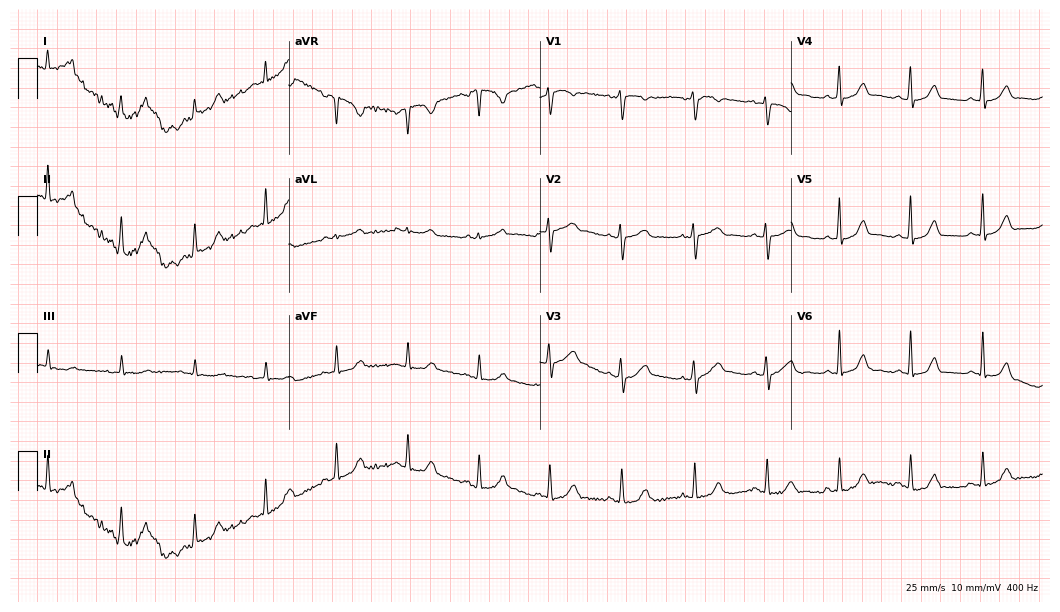
Standard 12-lead ECG recorded from a female, 36 years old (10.2-second recording at 400 Hz). None of these six findings is recorded: first-degree AV block, right bundle branch block (RBBB), left bundle branch block (LBBB), sinus bradycardia, atrial fibrillation (AF), sinus tachycardia. Only these six findings were labelled.